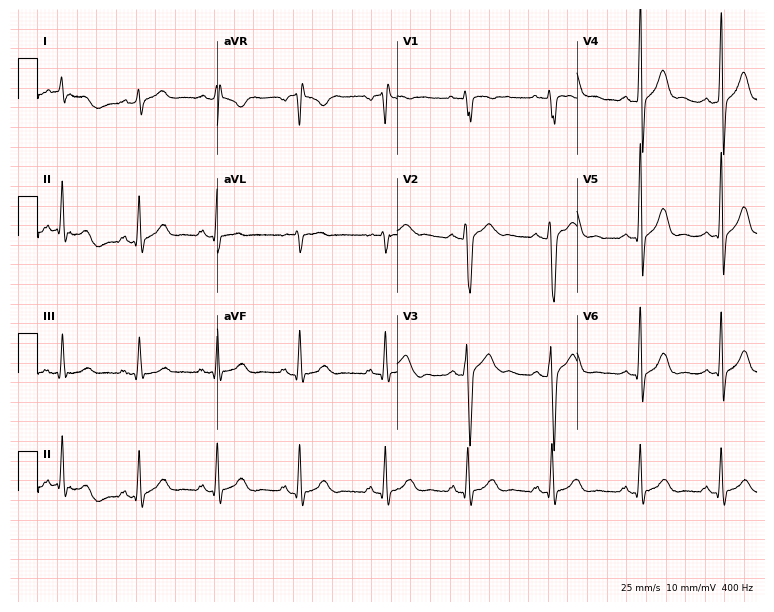
Electrocardiogram, a male, 24 years old. Overall reading on record: normal ECG.